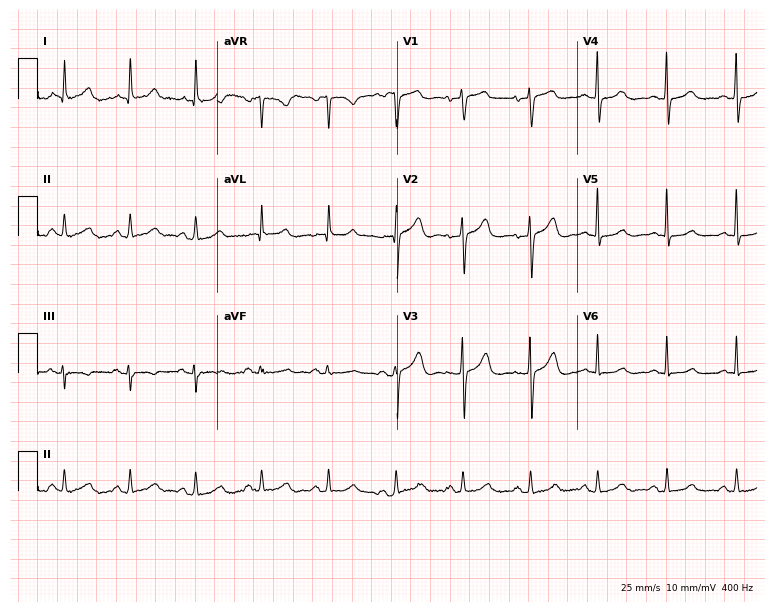
ECG — an 83-year-old female. Labelled as a normal ECG.